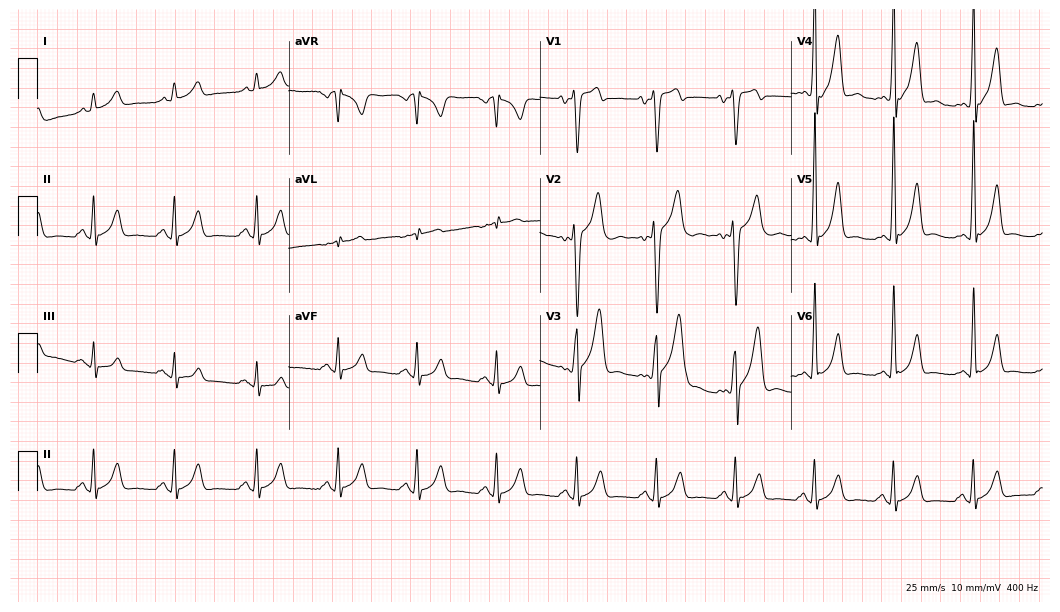
Standard 12-lead ECG recorded from a male, 23 years old. Read as a normal ECG.